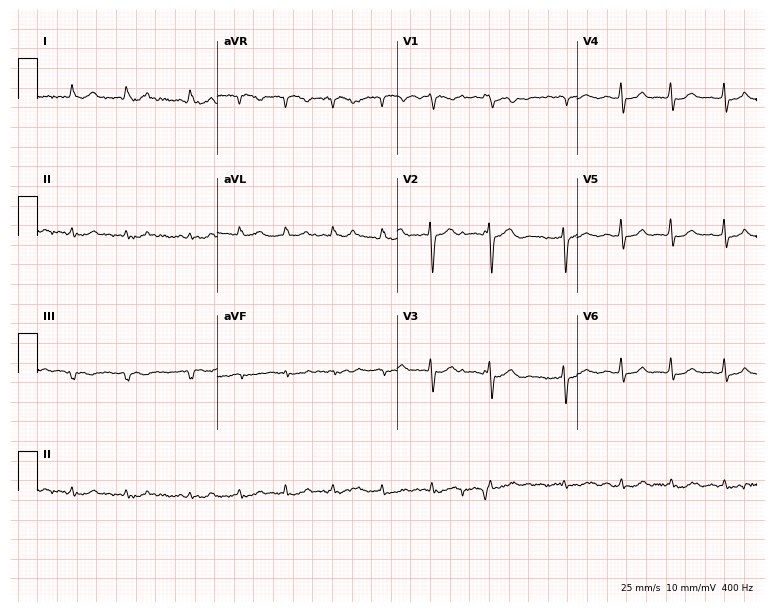
ECG (7.3-second recording at 400 Hz) — a 75-year-old female. Findings include atrial fibrillation (AF).